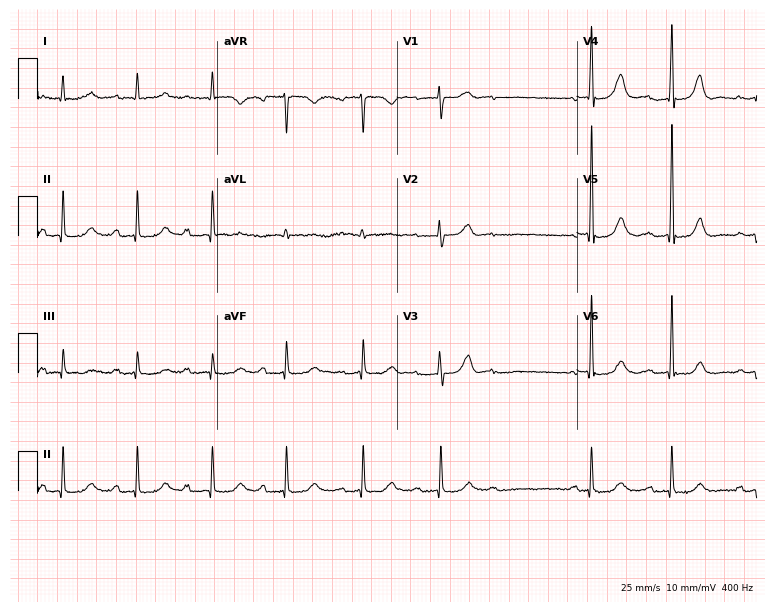
12-lead ECG from a 76-year-old female patient (7.3-second recording at 400 Hz). No first-degree AV block, right bundle branch block, left bundle branch block, sinus bradycardia, atrial fibrillation or sinus tachycardia recorded for this tracing. Findings outside these six are not listed.